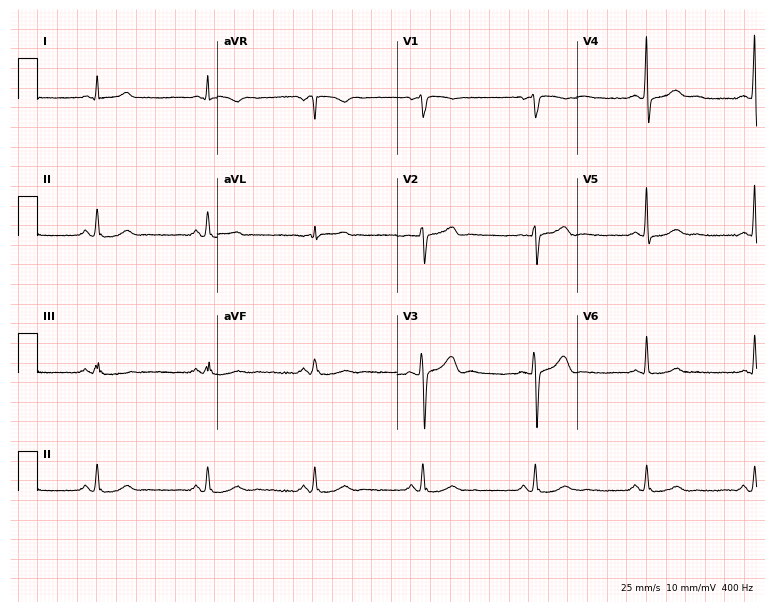
Resting 12-lead electrocardiogram. Patient: a 66-year-old man. Read as a normal ECG.